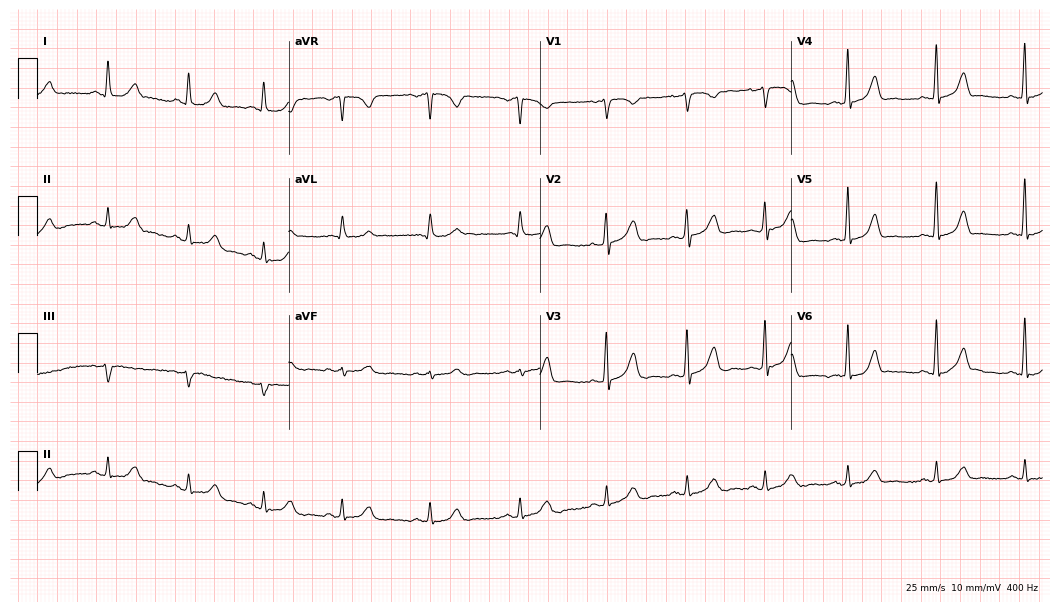
Electrocardiogram (10.2-second recording at 400 Hz), a 37-year-old female. Overall reading on record: normal ECG.